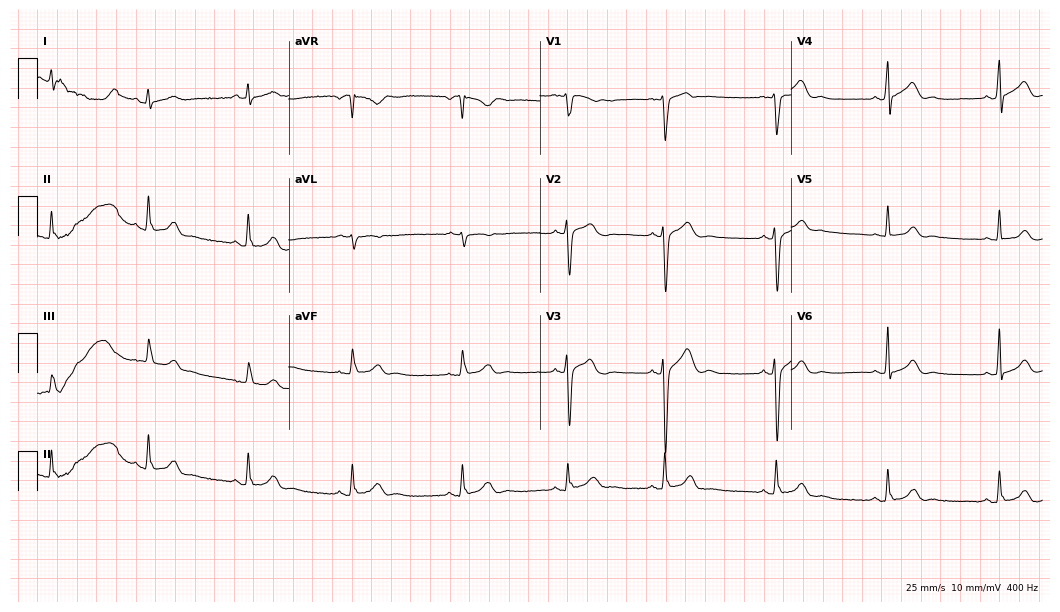
Resting 12-lead electrocardiogram (10.2-second recording at 400 Hz). Patient: a 35-year-old man. Read as a normal ECG.